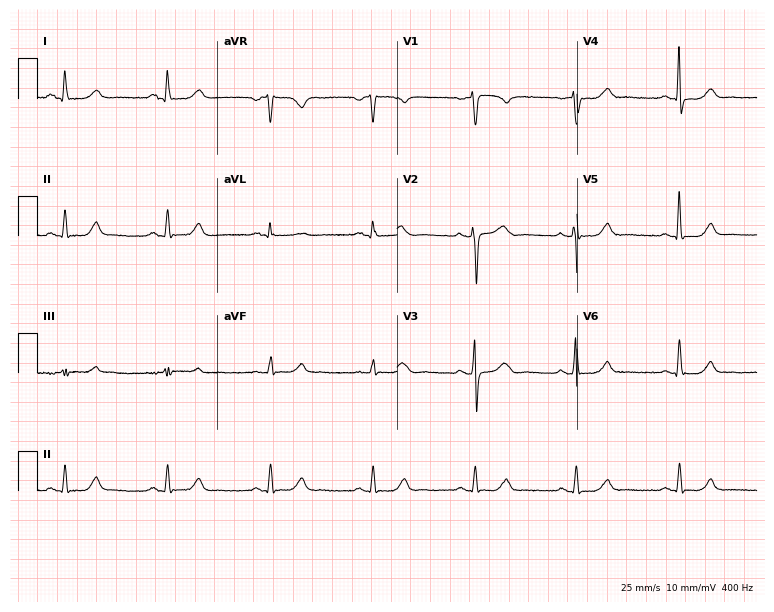
ECG — a woman, 66 years old. Labelled as a normal ECG.